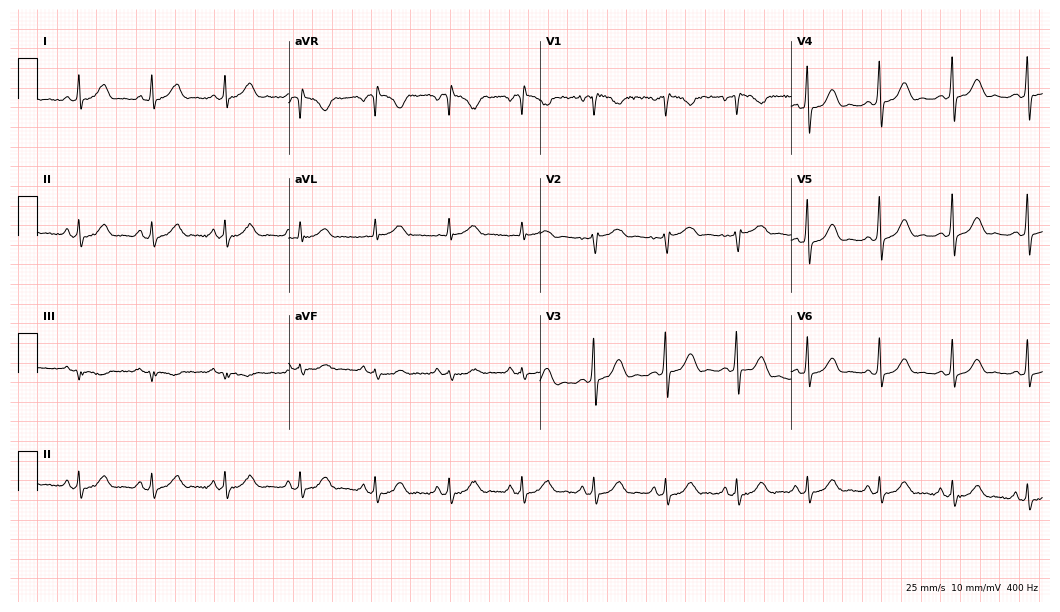
12-lead ECG from a female, 50 years old. No first-degree AV block, right bundle branch block (RBBB), left bundle branch block (LBBB), sinus bradycardia, atrial fibrillation (AF) or sinus tachycardia recorded for this tracing. Findings outside these six are not listed.